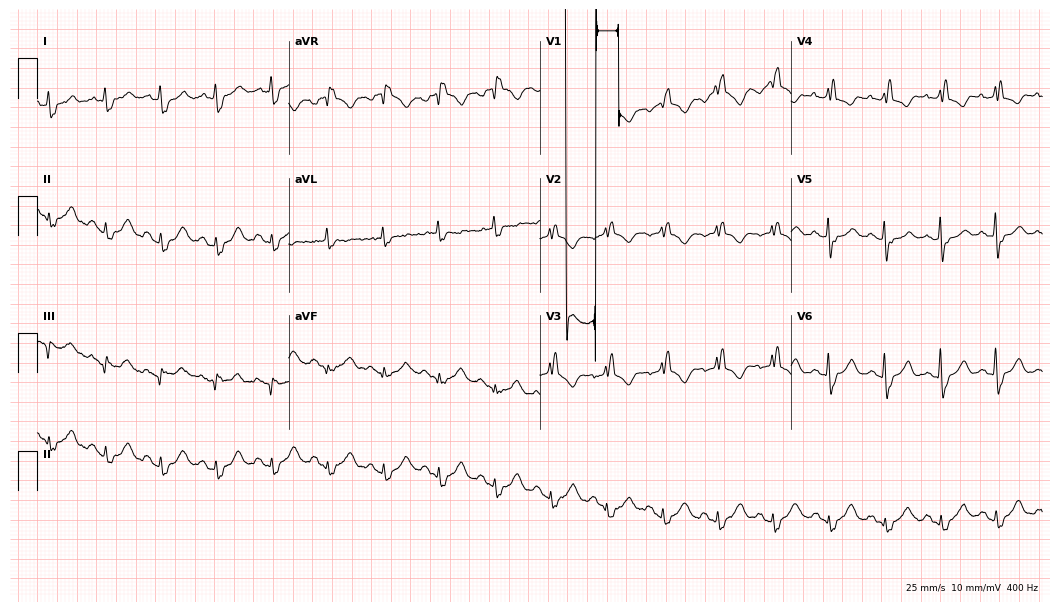
Standard 12-lead ECG recorded from a female patient, 83 years old (10.2-second recording at 400 Hz). None of these six findings is recorded: first-degree AV block, right bundle branch block, left bundle branch block, sinus bradycardia, atrial fibrillation, sinus tachycardia.